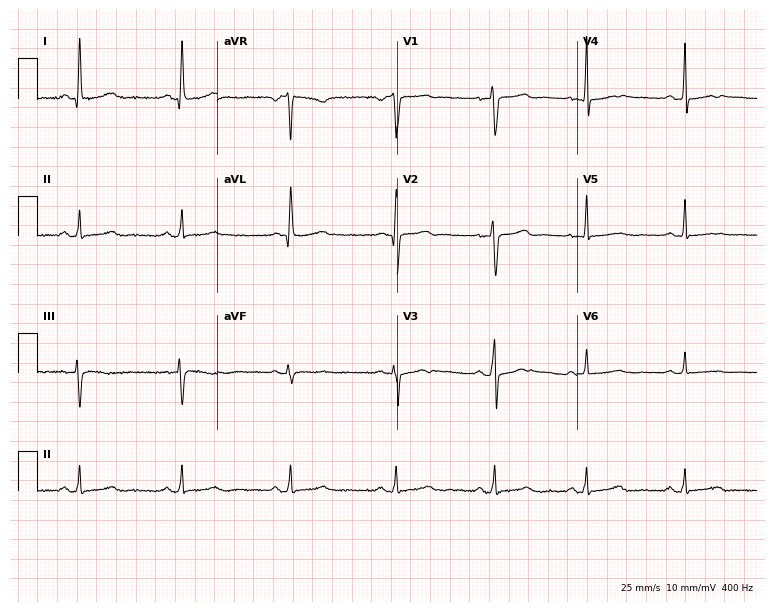
Resting 12-lead electrocardiogram (7.3-second recording at 400 Hz). Patient: a 42-year-old female. None of these six findings is recorded: first-degree AV block, right bundle branch block (RBBB), left bundle branch block (LBBB), sinus bradycardia, atrial fibrillation (AF), sinus tachycardia.